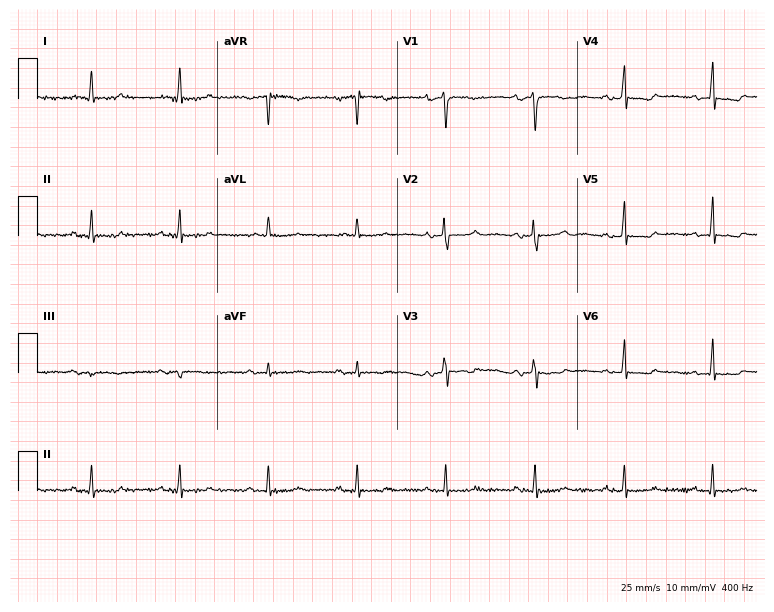
Resting 12-lead electrocardiogram. Patient: a 65-year-old woman. None of these six findings is recorded: first-degree AV block, right bundle branch block (RBBB), left bundle branch block (LBBB), sinus bradycardia, atrial fibrillation (AF), sinus tachycardia. Findings outside these six are not listed.